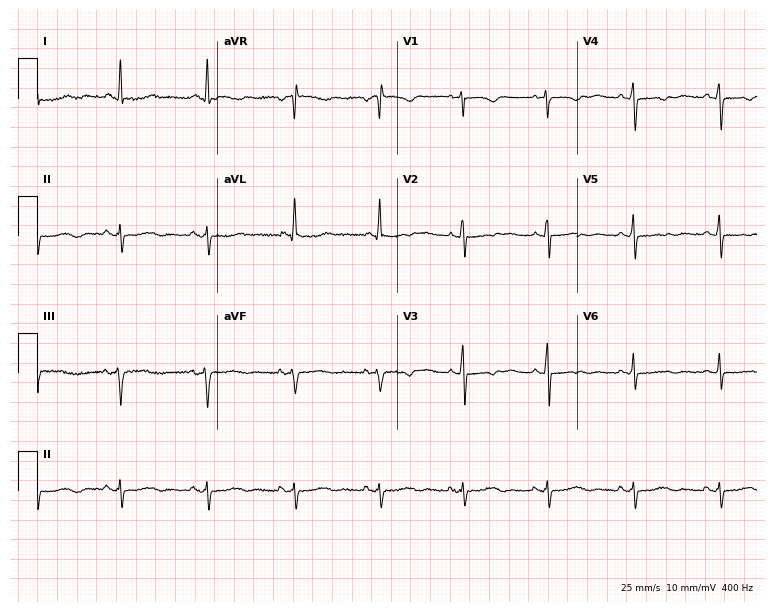
Electrocardiogram, a female patient, 60 years old. Of the six screened findings (first-degree AV block, right bundle branch block, left bundle branch block, sinus bradycardia, atrial fibrillation, sinus tachycardia), none is recorded. Only these six findings were labelled.